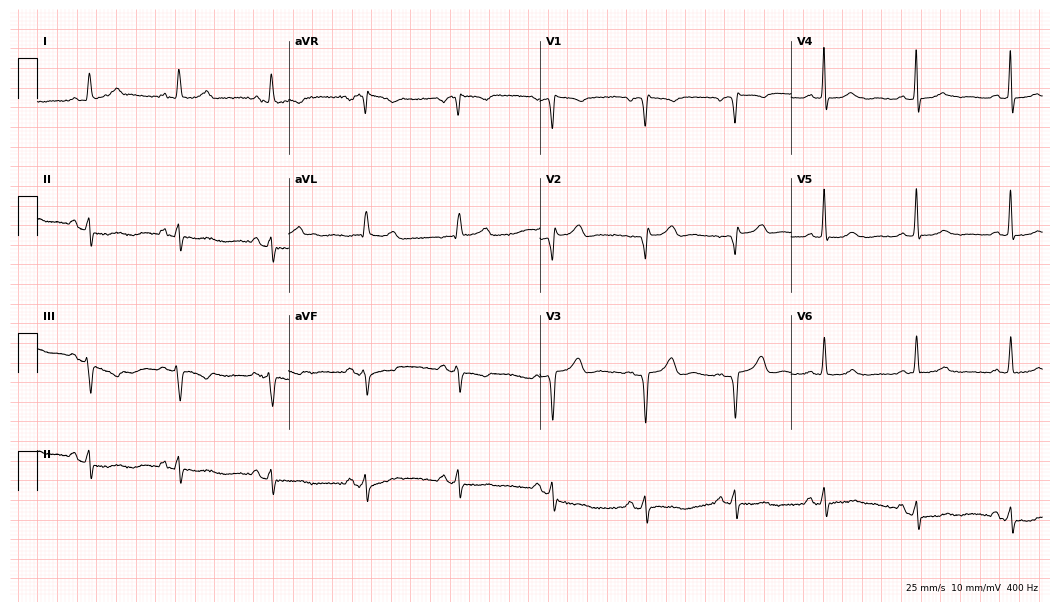
Resting 12-lead electrocardiogram. Patient: a female, 56 years old. None of these six findings is recorded: first-degree AV block, right bundle branch block, left bundle branch block, sinus bradycardia, atrial fibrillation, sinus tachycardia.